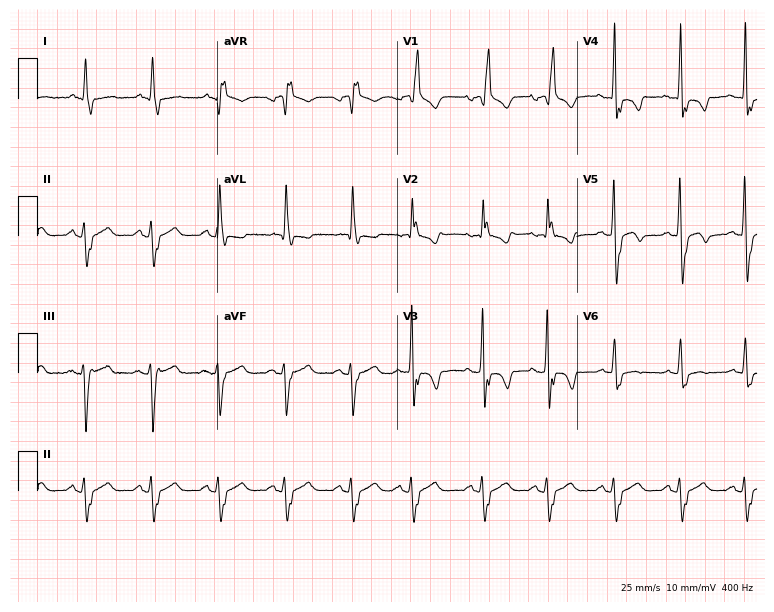
Resting 12-lead electrocardiogram (7.3-second recording at 400 Hz). Patient: an 82-year-old man. None of these six findings is recorded: first-degree AV block, right bundle branch block, left bundle branch block, sinus bradycardia, atrial fibrillation, sinus tachycardia.